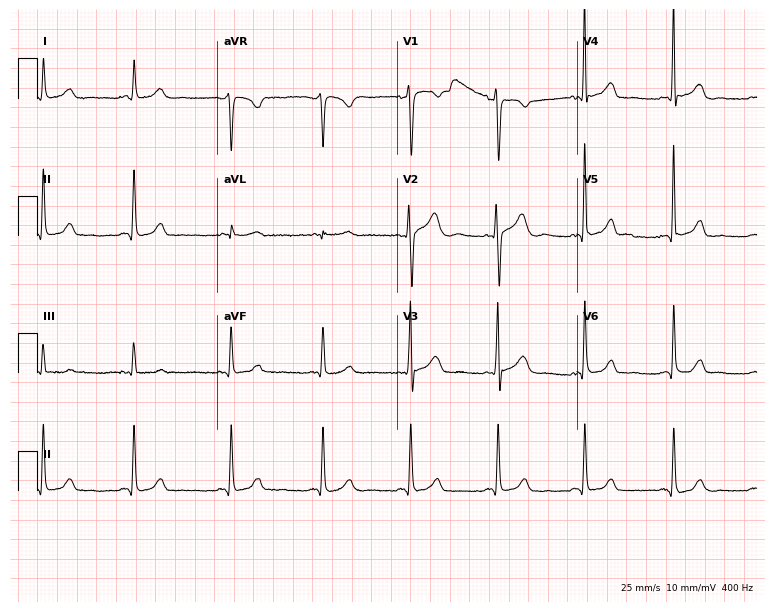
Resting 12-lead electrocardiogram. Patient: a woman, 41 years old. Read as a normal ECG.